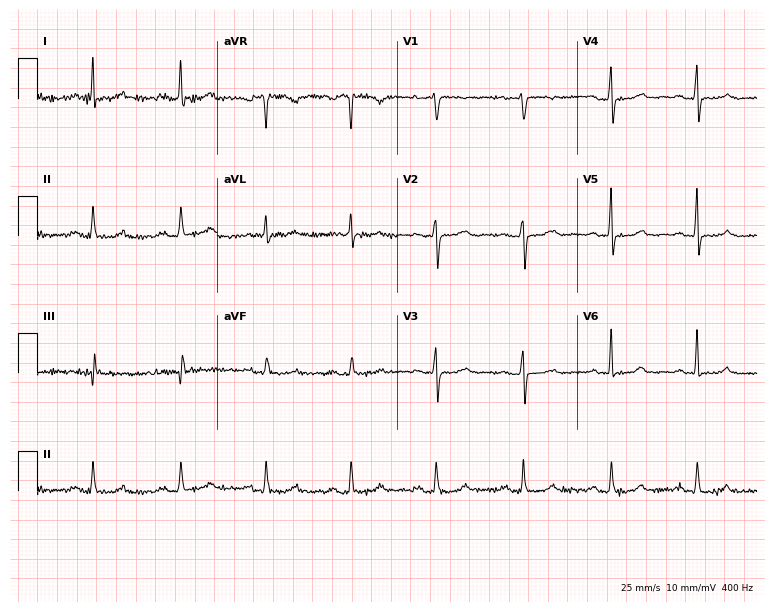
Electrocardiogram, a 49-year-old female patient. Of the six screened findings (first-degree AV block, right bundle branch block, left bundle branch block, sinus bradycardia, atrial fibrillation, sinus tachycardia), none is recorded.